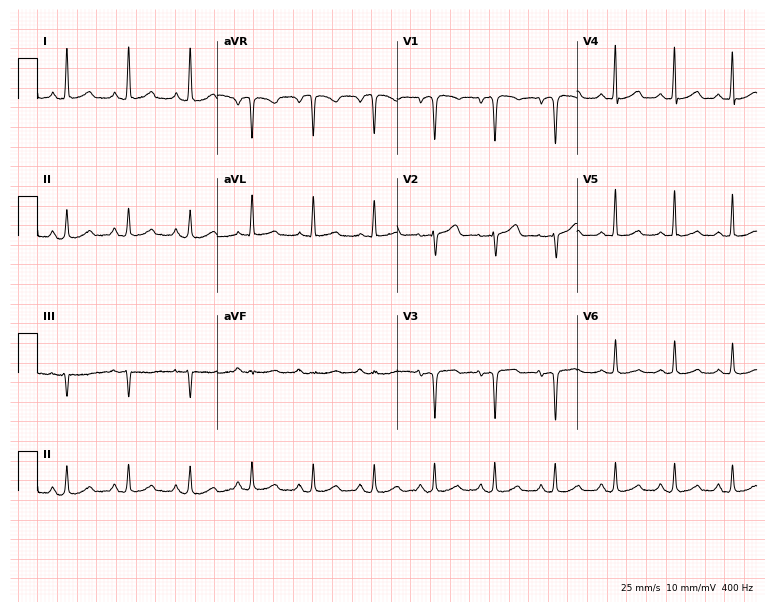
Electrocardiogram, a 59-year-old female. Of the six screened findings (first-degree AV block, right bundle branch block (RBBB), left bundle branch block (LBBB), sinus bradycardia, atrial fibrillation (AF), sinus tachycardia), none is recorded. Findings outside these six are not listed.